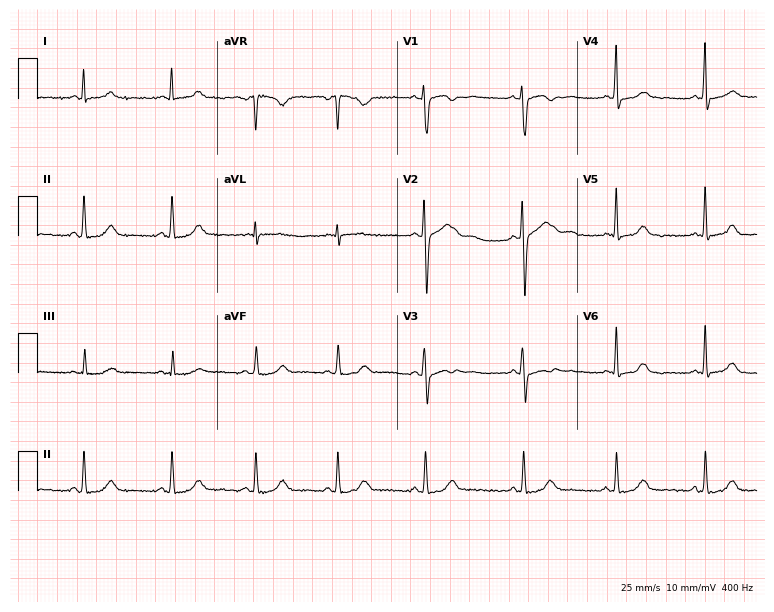
12-lead ECG from a female, 50 years old. No first-degree AV block, right bundle branch block, left bundle branch block, sinus bradycardia, atrial fibrillation or sinus tachycardia recorded for this tracing.